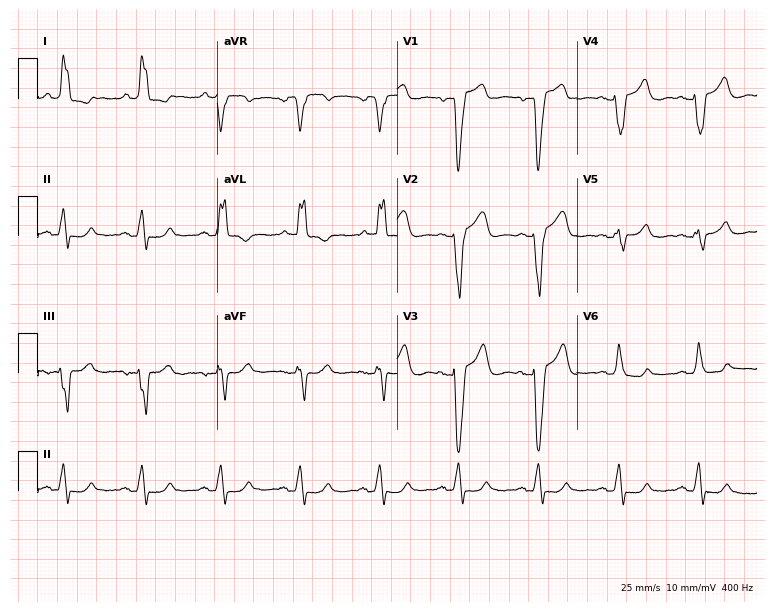
ECG — an 82-year-old woman. Findings include left bundle branch block.